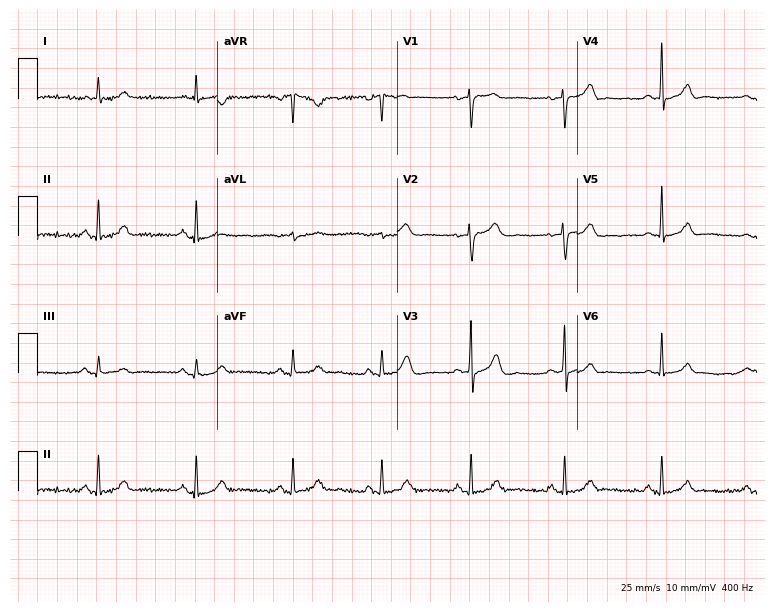
Resting 12-lead electrocardiogram. Patient: a 43-year-old female. Read as a normal ECG.